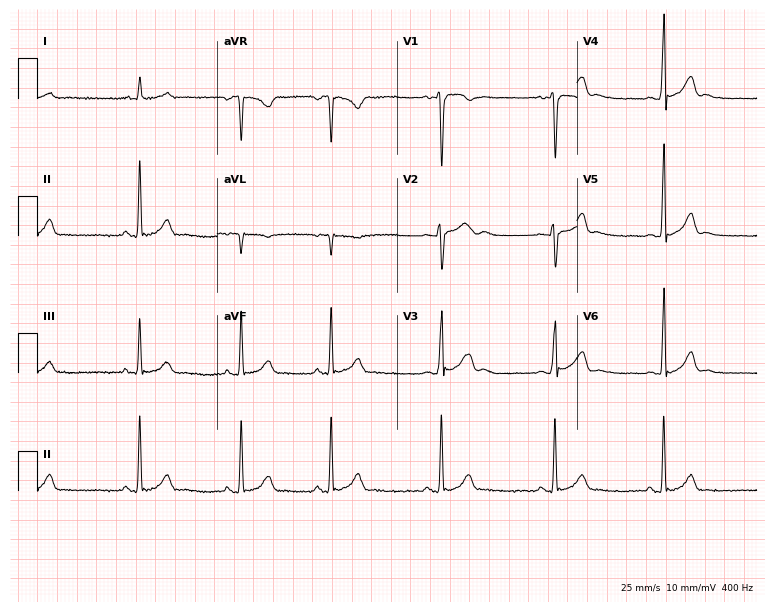
Electrocardiogram (7.3-second recording at 400 Hz), a male, 22 years old. Of the six screened findings (first-degree AV block, right bundle branch block, left bundle branch block, sinus bradycardia, atrial fibrillation, sinus tachycardia), none is recorded. Other findings, if any, are not listed.